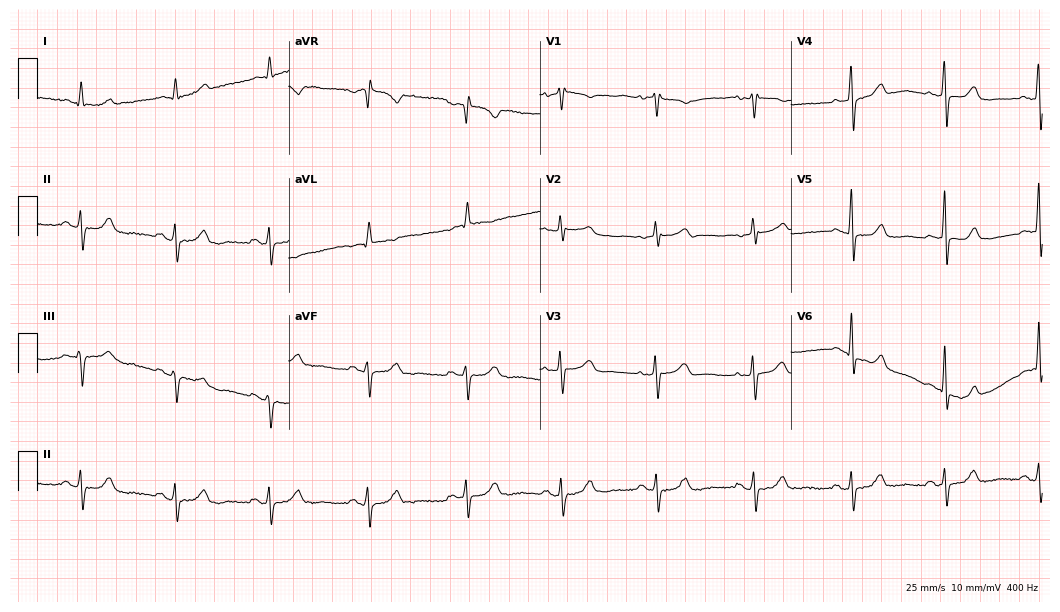
12-lead ECG from a 77-year-old woman (10.2-second recording at 400 Hz). No first-degree AV block, right bundle branch block (RBBB), left bundle branch block (LBBB), sinus bradycardia, atrial fibrillation (AF) or sinus tachycardia recorded for this tracing. Other findings, if any, are not listed.